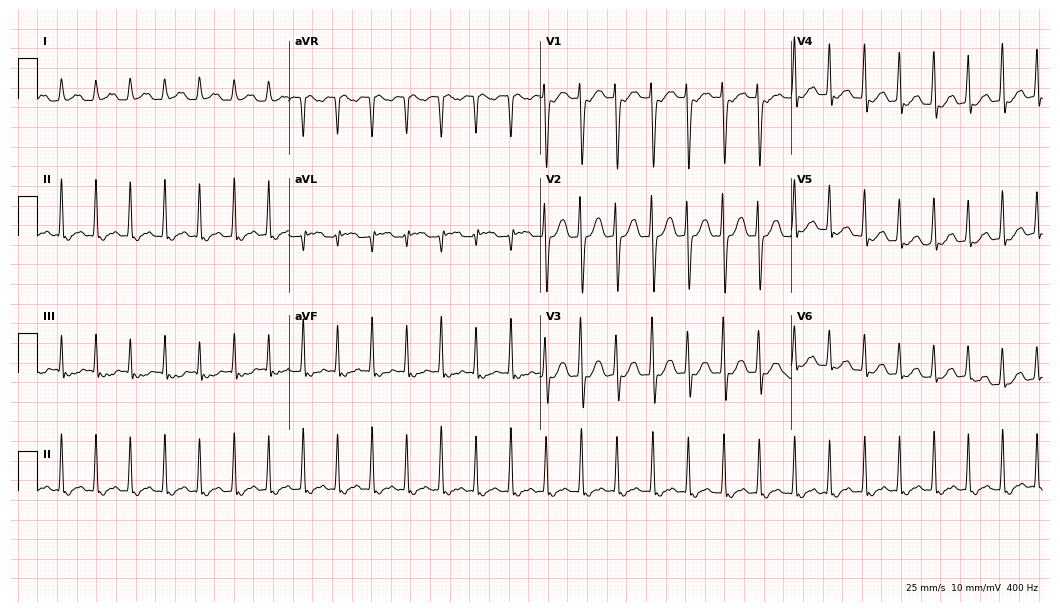
12-lead ECG from an 18-year-old female. Findings include sinus tachycardia (a sinus rate of 100 beats per minute or more).